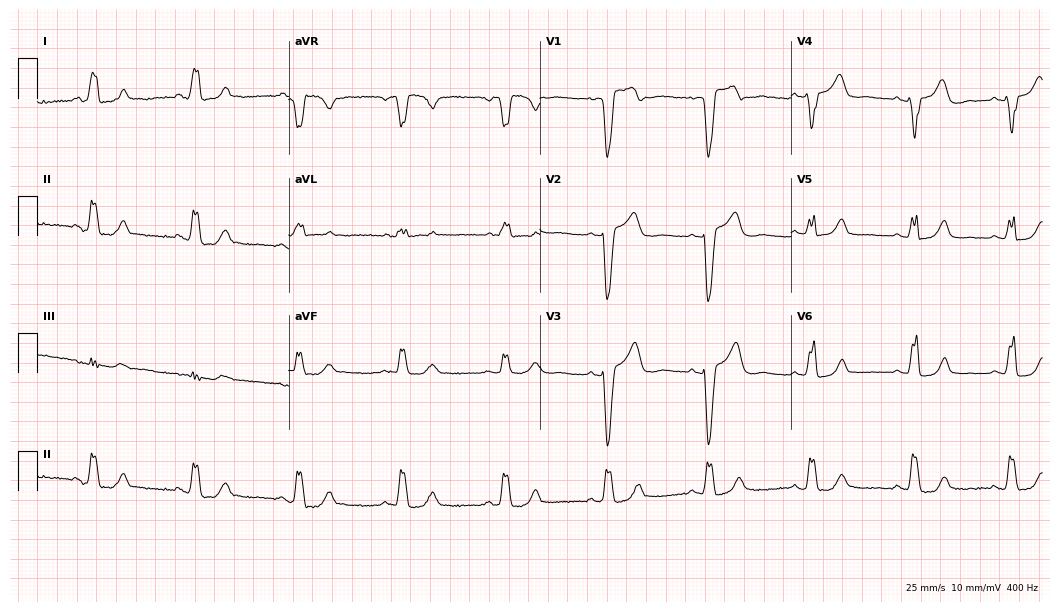
ECG (10.2-second recording at 400 Hz) — a woman, 60 years old. Findings include left bundle branch block.